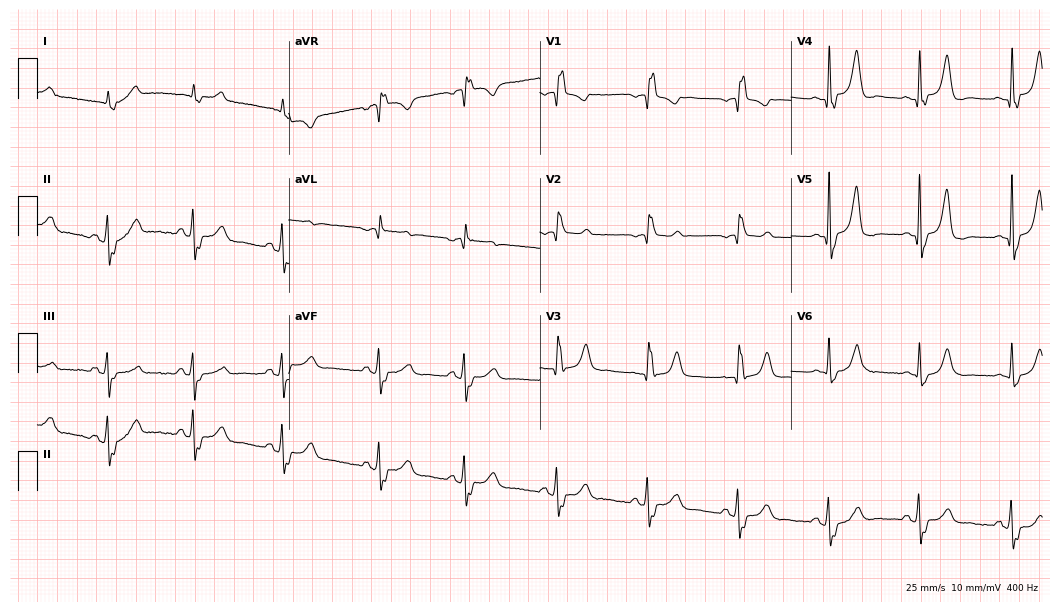
Standard 12-lead ECG recorded from a 71-year-old male patient. The tracing shows right bundle branch block.